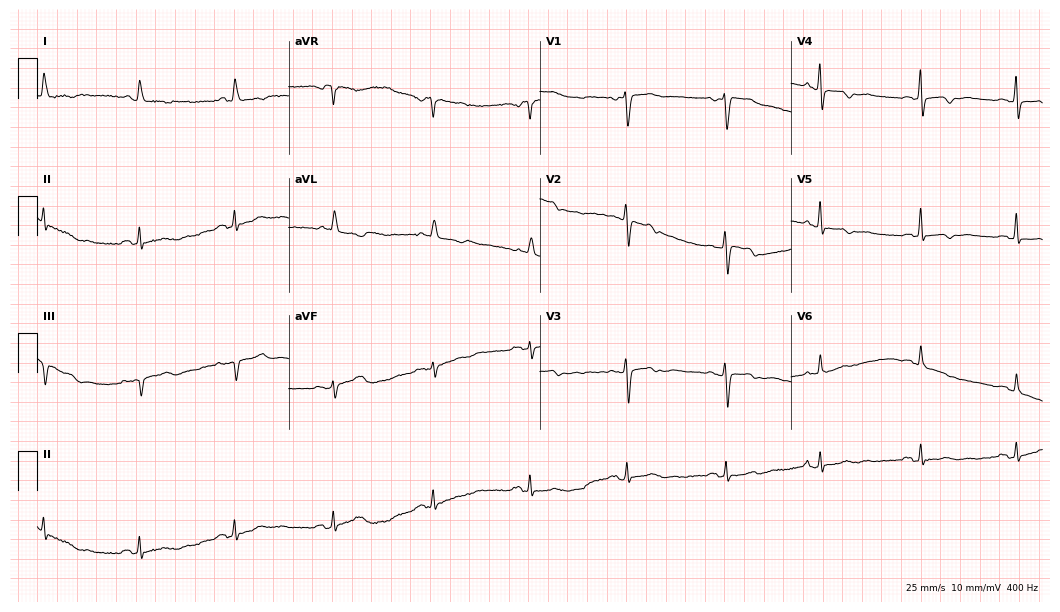
Resting 12-lead electrocardiogram (10.2-second recording at 400 Hz). Patient: a 78-year-old female. None of these six findings is recorded: first-degree AV block, right bundle branch block, left bundle branch block, sinus bradycardia, atrial fibrillation, sinus tachycardia. Findings outside these six are not listed.